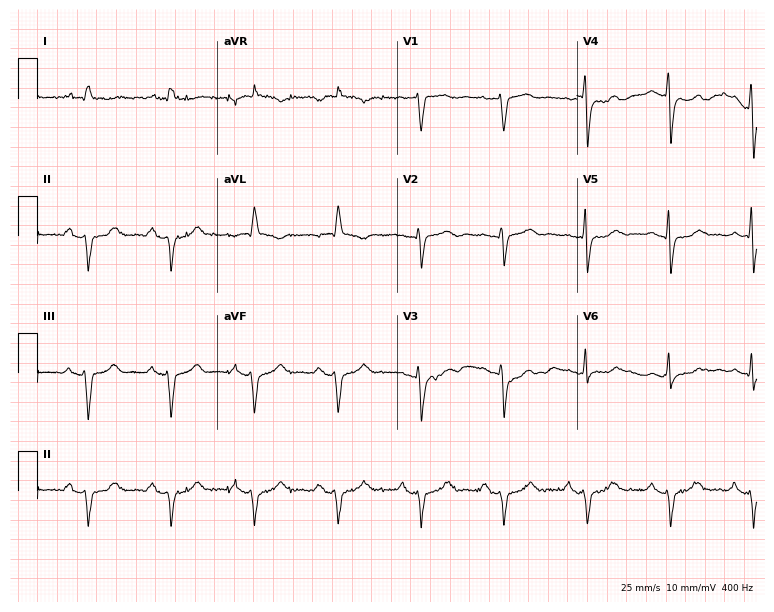
12-lead ECG from an 85-year-old woman (7.3-second recording at 400 Hz). No first-degree AV block, right bundle branch block (RBBB), left bundle branch block (LBBB), sinus bradycardia, atrial fibrillation (AF) or sinus tachycardia recorded for this tracing.